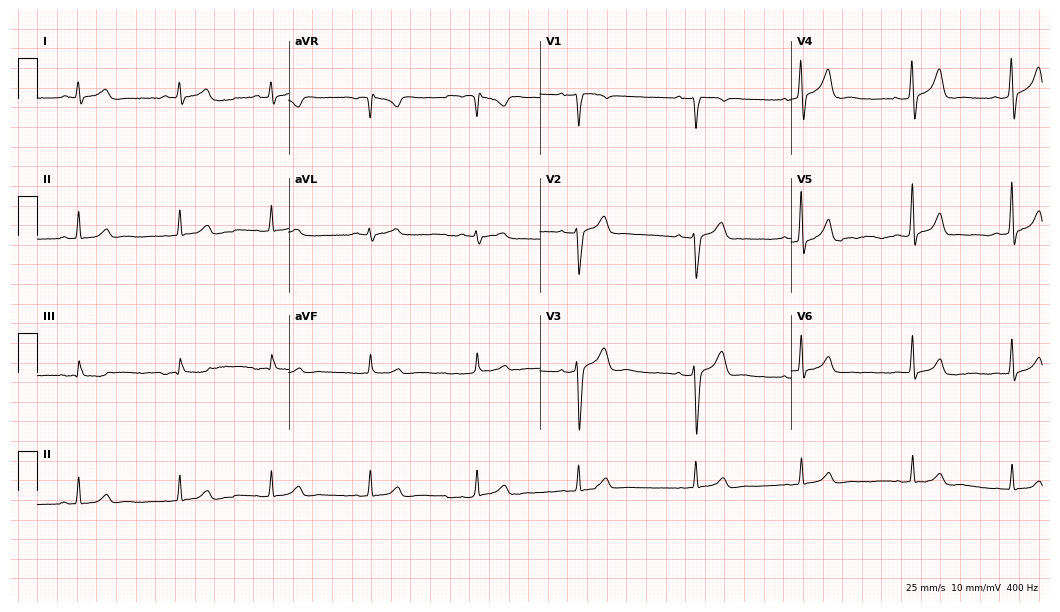
12-lead ECG from a male, 42 years old. Labelled as a normal ECG.